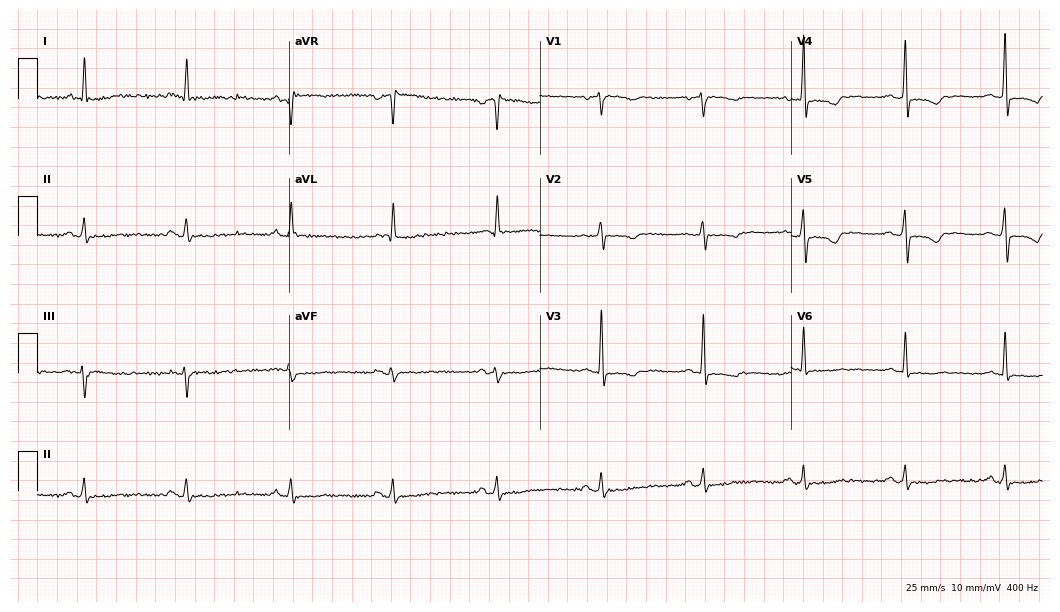
Resting 12-lead electrocardiogram (10.2-second recording at 400 Hz). Patient: a 66-year-old female. None of these six findings is recorded: first-degree AV block, right bundle branch block, left bundle branch block, sinus bradycardia, atrial fibrillation, sinus tachycardia.